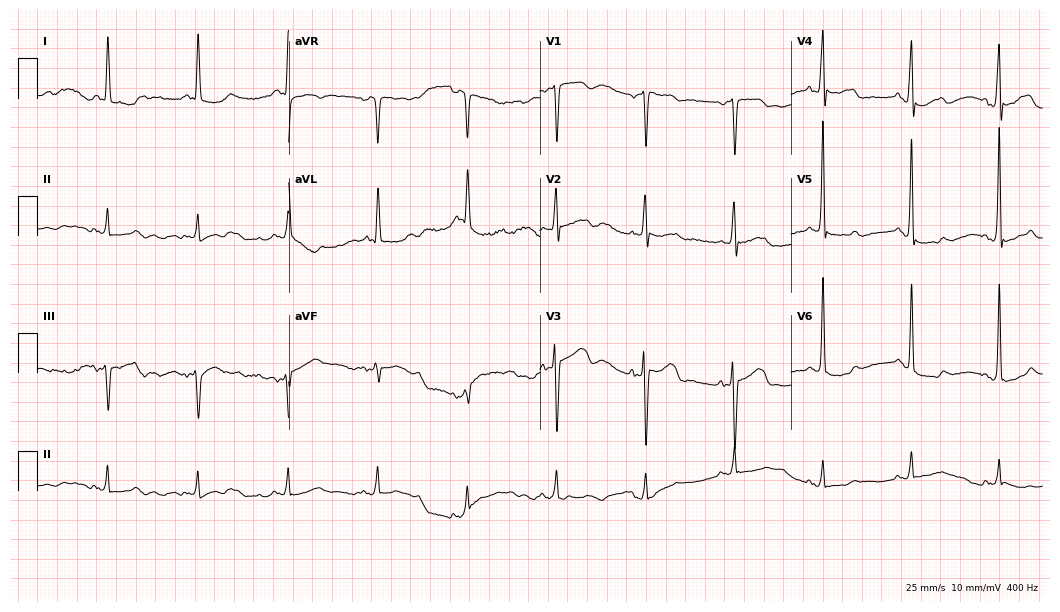
Resting 12-lead electrocardiogram. Patient: a woman, 85 years old. None of these six findings is recorded: first-degree AV block, right bundle branch block (RBBB), left bundle branch block (LBBB), sinus bradycardia, atrial fibrillation (AF), sinus tachycardia. Findings outside these six are not listed.